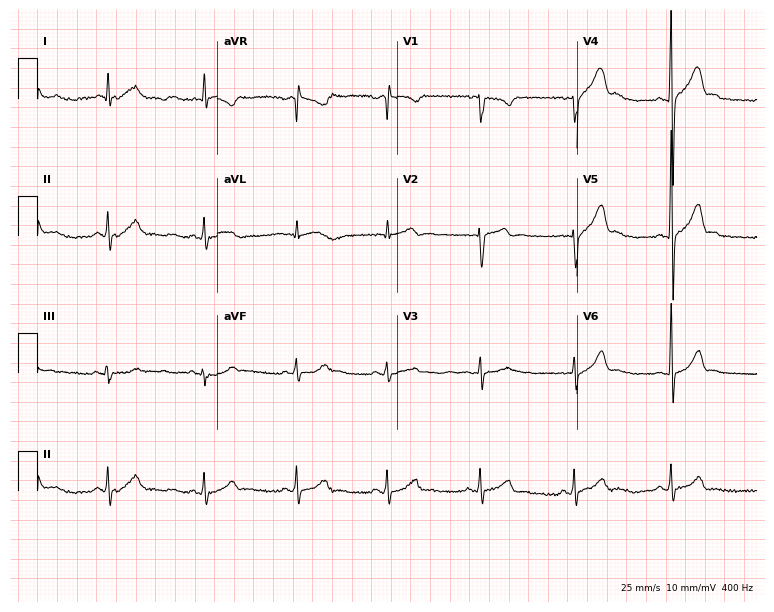
12-lead ECG from a male patient, 17 years old. Labelled as a normal ECG.